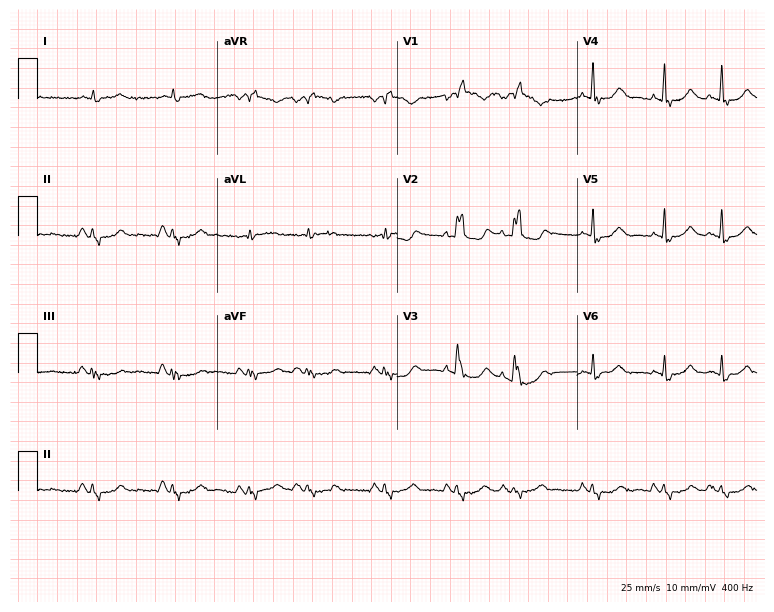
12-lead ECG from an 80-year-old woman (7.3-second recording at 400 Hz). Shows right bundle branch block (RBBB).